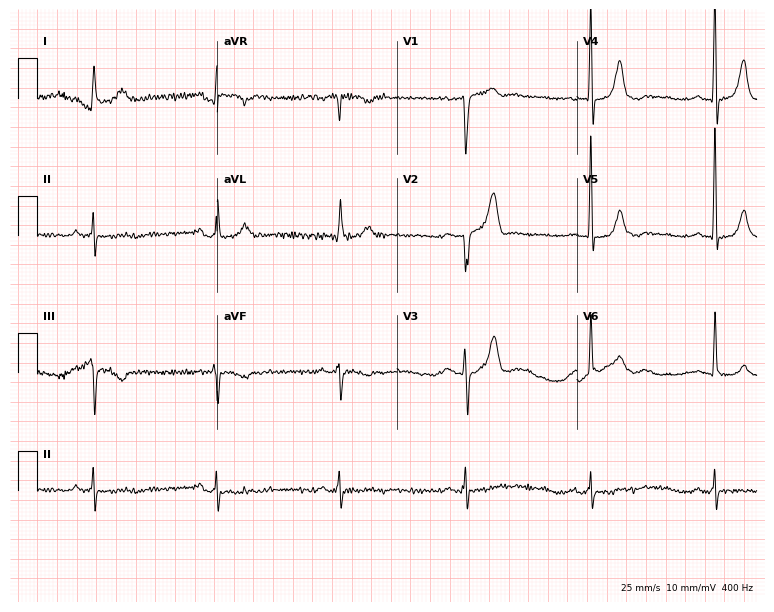
Resting 12-lead electrocardiogram. Patient: a male, 73 years old. The tracing shows sinus bradycardia (a sinus rate of 50 beats per minute or less).